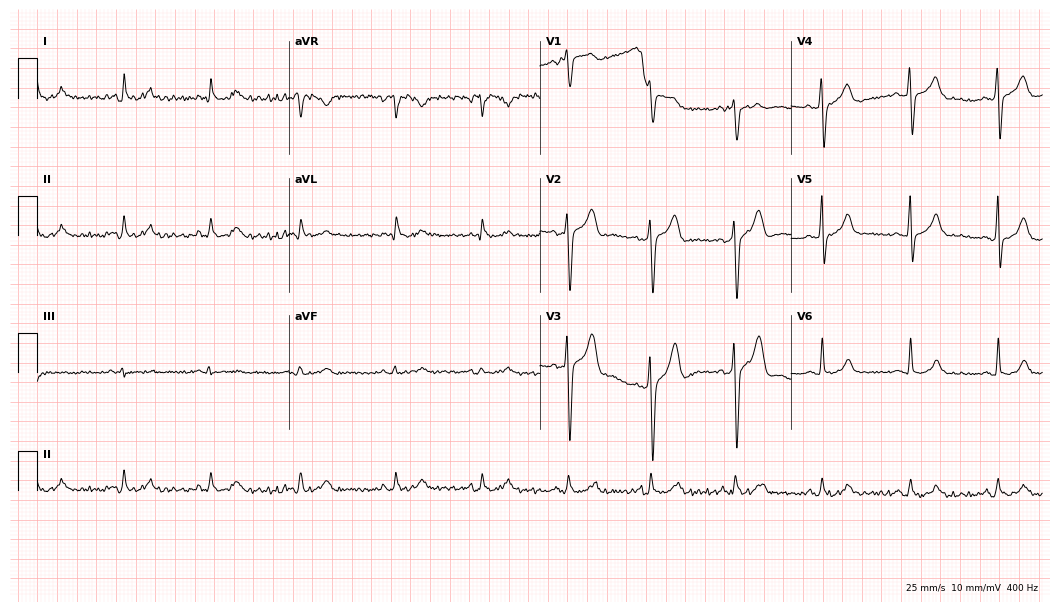
Electrocardiogram, a male patient, 49 years old. Overall reading on record: normal ECG.